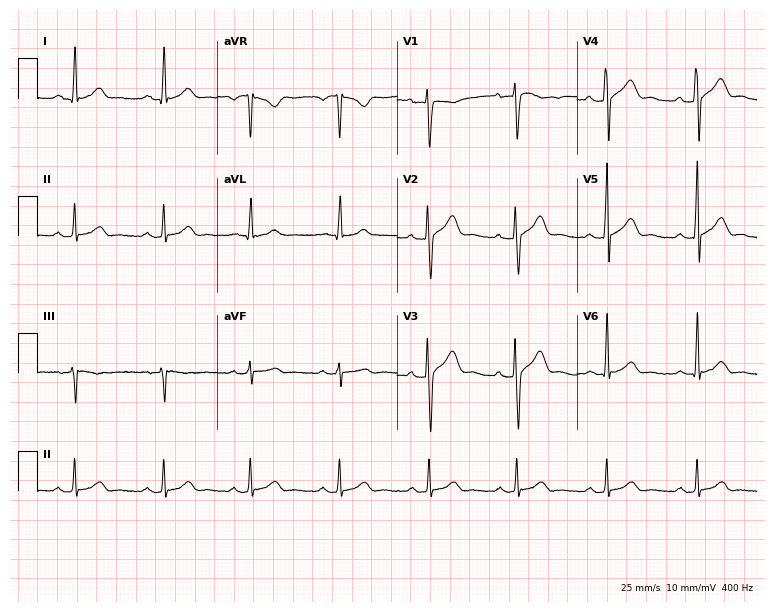
Electrocardiogram, a 42-year-old male patient. Of the six screened findings (first-degree AV block, right bundle branch block (RBBB), left bundle branch block (LBBB), sinus bradycardia, atrial fibrillation (AF), sinus tachycardia), none is recorded. Only these six findings were labelled.